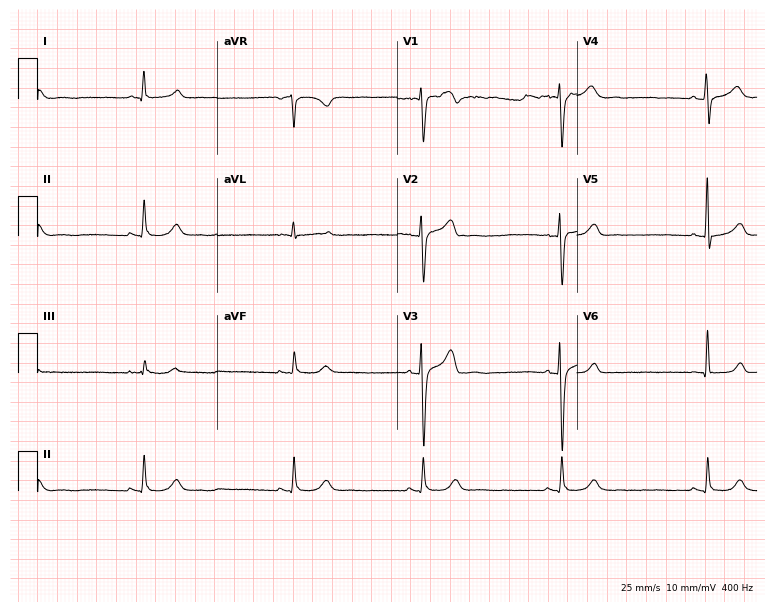
12-lead ECG from a male, 44 years old (7.3-second recording at 400 Hz). No first-degree AV block, right bundle branch block, left bundle branch block, sinus bradycardia, atrial fibrillation or sinus tachycardia recorded for this tracing. Only these six findings were labelled.